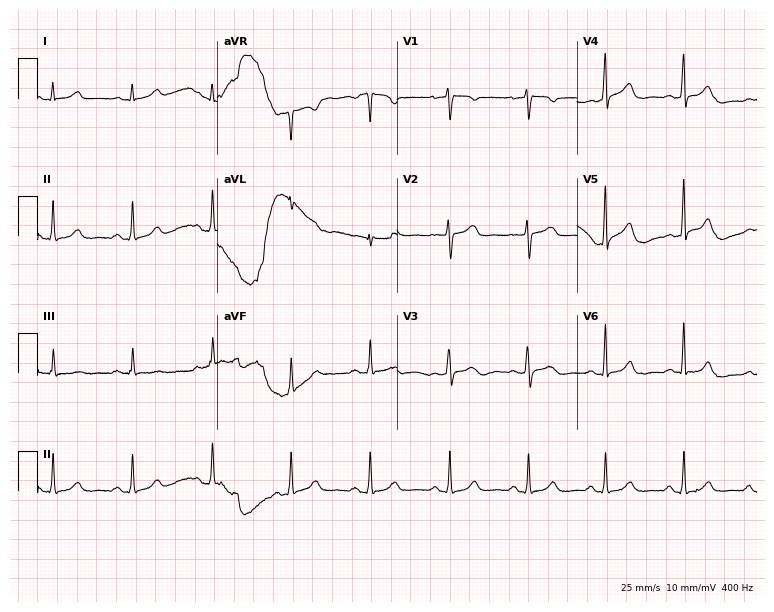
Standard 12-lead ECG recorded from a female patient, 47 years old. Read as a normal ECG.